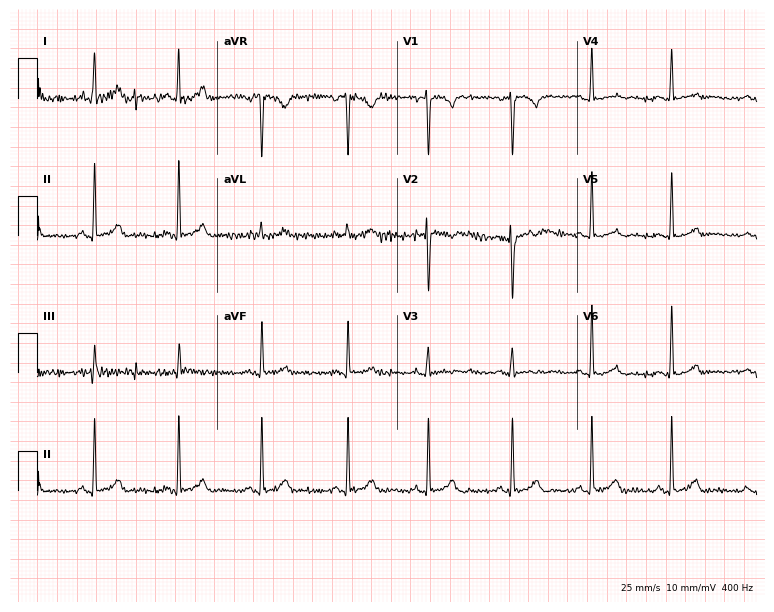
12-lead ECG from a female, 55 years old. No first-degree AV block, right bundle branch block (RBBB), left bundle branch block (LBBB), sinus bradycardia, atrial fibrillation (AF) or sinus tachycardia recorded for this tracing. Findings outside these six are not listed.